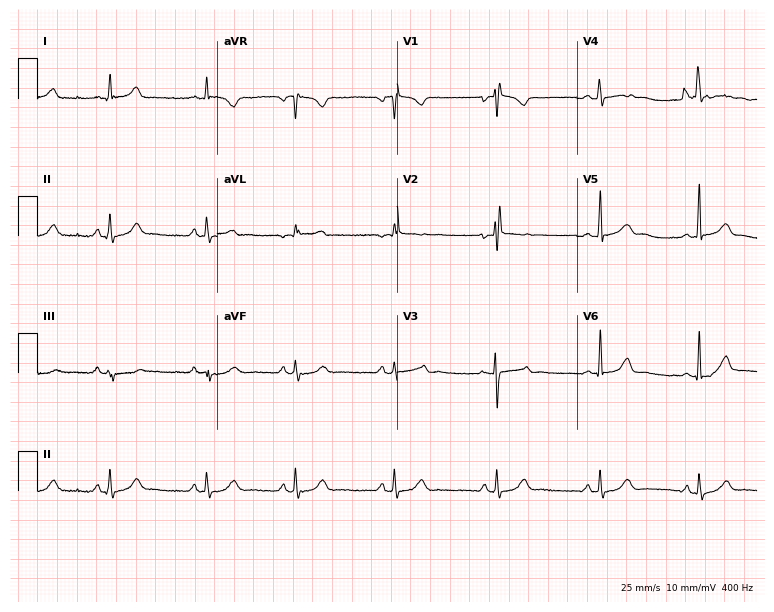
Electrocardiogram (7.3-second recording at 400 Hz), a female patient, 23 years old. Of the six screened findings (first-degree AV block, right bundle branch block, left bundle branch block, sinus bradycardia, atrial fibrillation, sinus tachycardia), none is recorded.